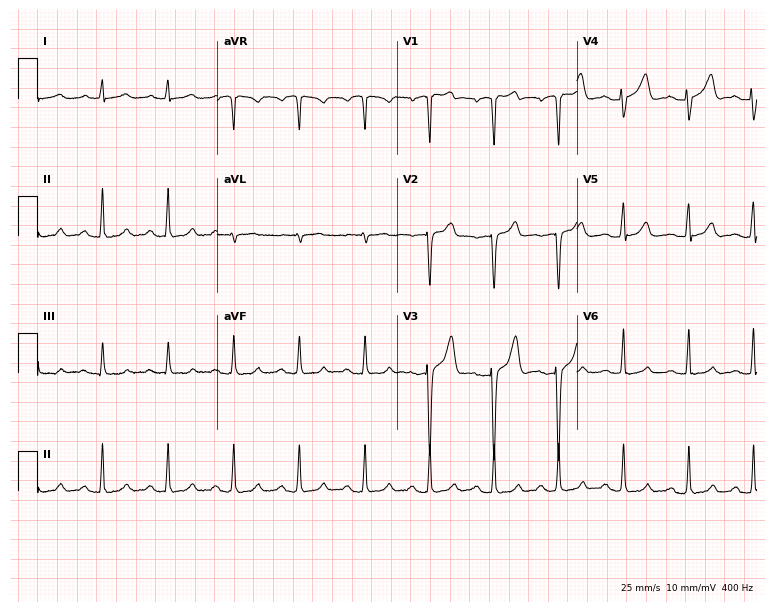
Electrocardiogram (7.3-second recording at 400 Hz), a 40-year-old man. Overall reading on record: normal ECG.